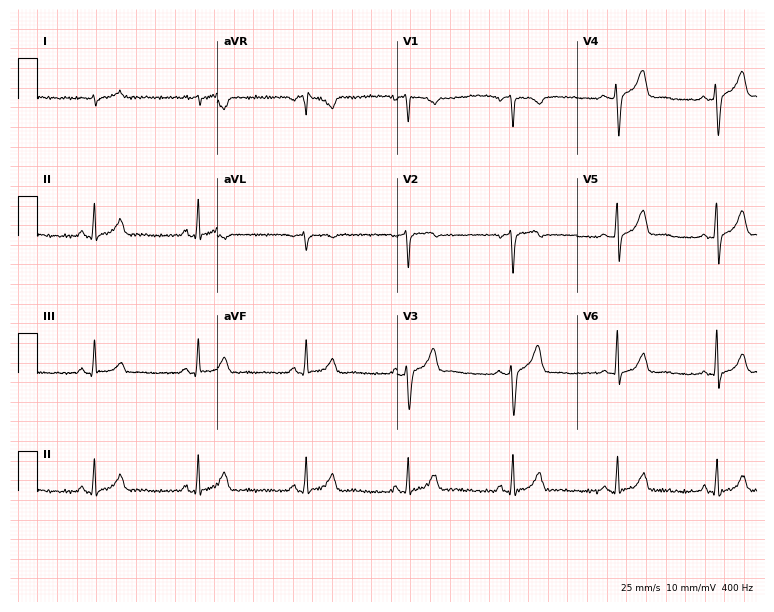
12-lead ECG from a 64-year-old man. No first-degree AV block, right bundle branch block (RBBB), left bundle branch block (LBBB), sinus bradycardia, atrial fibrillation (AF) or sinus tachycardia recorded for this tracing. Other findings, if any, are not listed.